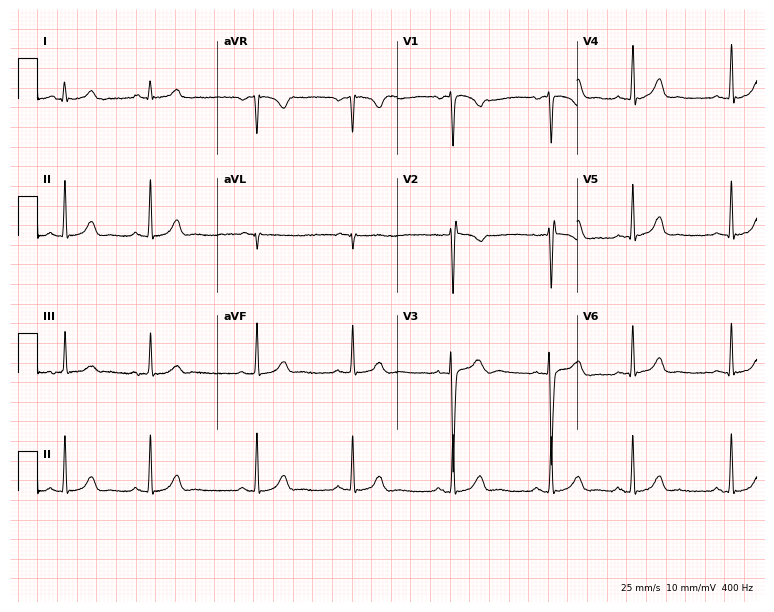
12-lead ECG from a female patient, 27 years old. Screened for six findings — first-degree AV block, right bundle branch block, left bundle branch block, sinus bradycardia, atrial fibrillation, sinus tachycardia — none is recorded. Findings outside these six are not listed.